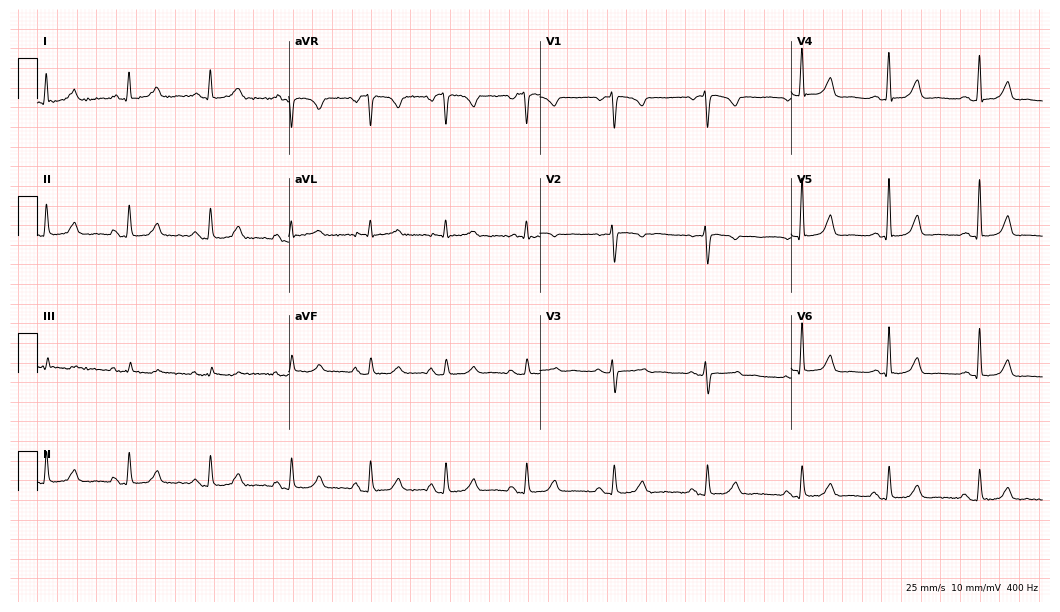
12-lead ECG from a 49-year-old woman. Labelled as a normal ECG.